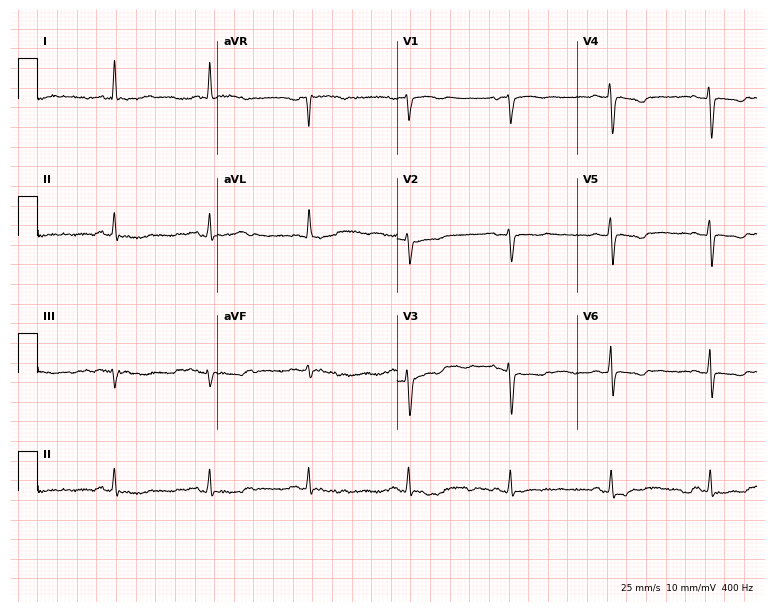
Standard 12-lead ECG recorded from a 68-year-old female patient. None of these six findings is recorded: first-degree AV block, right bundle branch block (RBBB), left bundle branch block (LBBB), sinus bradycardia, atrial fibrillation (AF), sinus tachycardia. Findings outside these six are not listed.